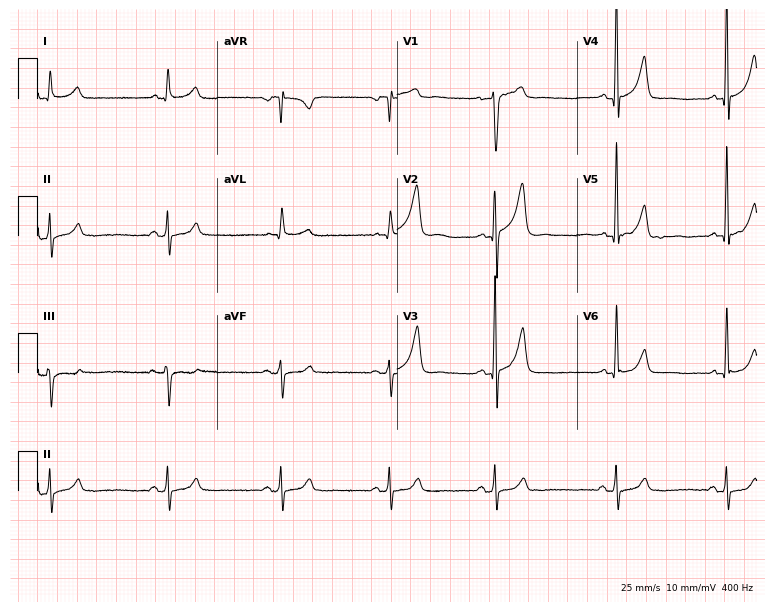
Resting 12-lead electrocardiogram (7.3-second recording at 400 Hz). Patient: a male, 43 years old. Read as a normal ECG.